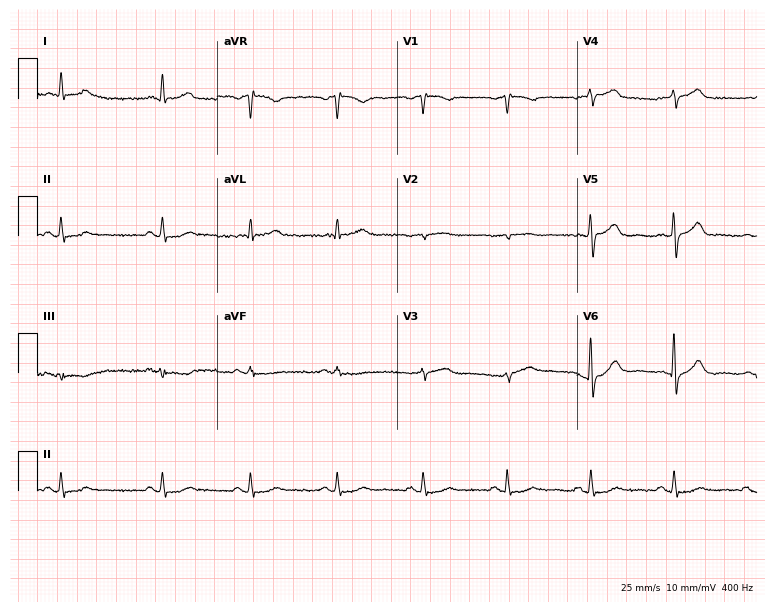
Electrocardiogram, a female, 67 years old. Overall reading on record: normal ECG.